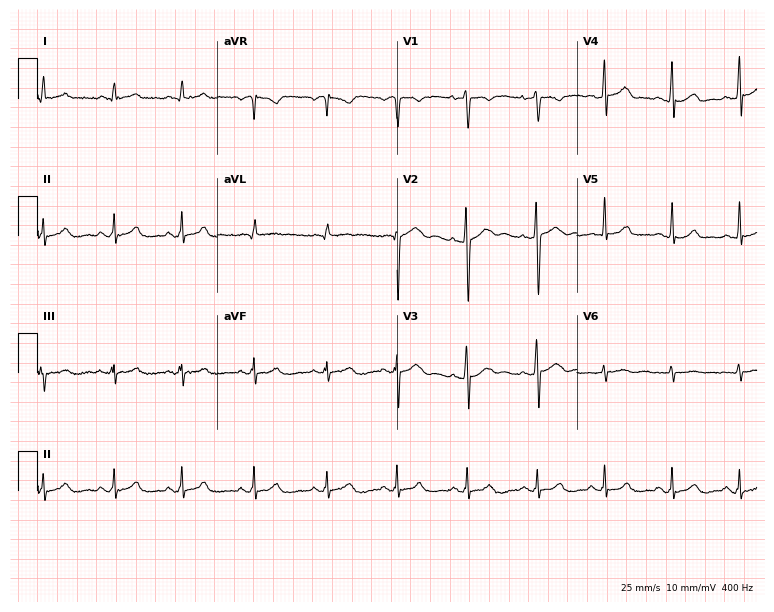
Resting 12-lead electrocardiogram. Patient: a woman, 27 years old. Read as a normal ECG.